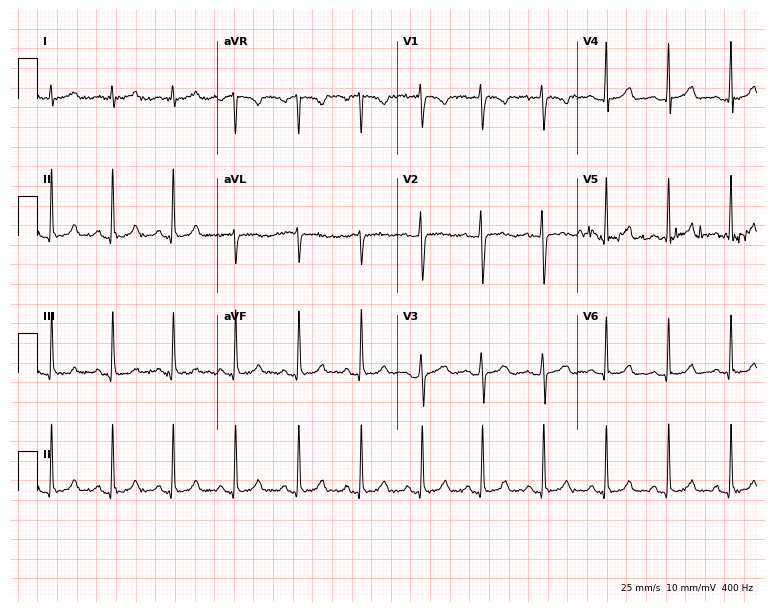
Standard 12-lead ECG recorded from a female patient, 17 years old (7.3-second recording at 400 Hz). Read as a normal ECG.